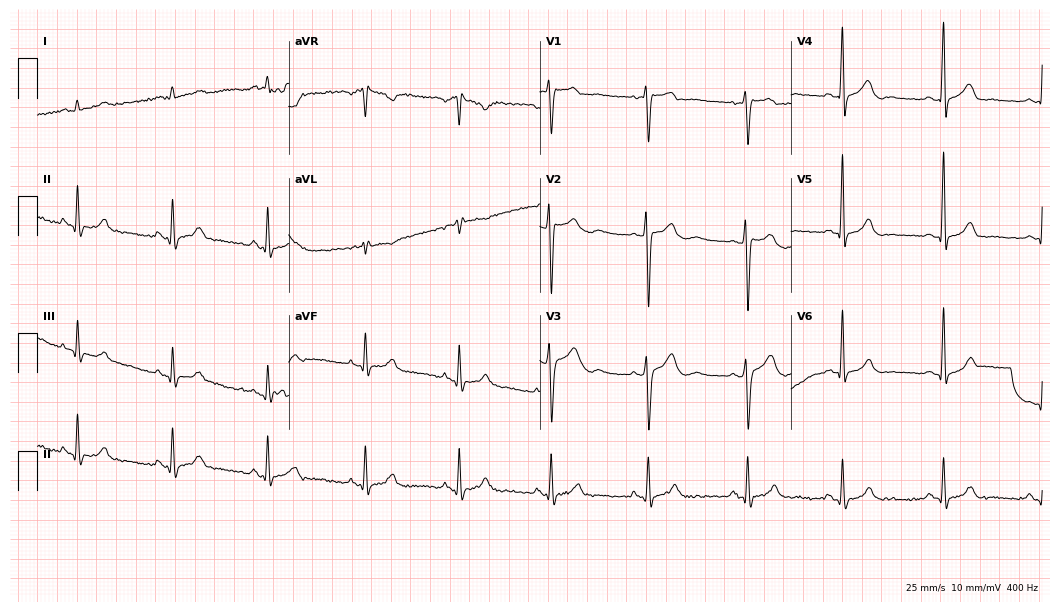
Standard 12-lead ECG recorded from a 23-year-old male. None of these six findings is recorded: first-degree AV block, right bundle branch block (RBBB), left bundle branch block (LBBB), sinus bradycardia, atrial fibrillation (AF), sinus tachycardia. Only these six findings were labelled.